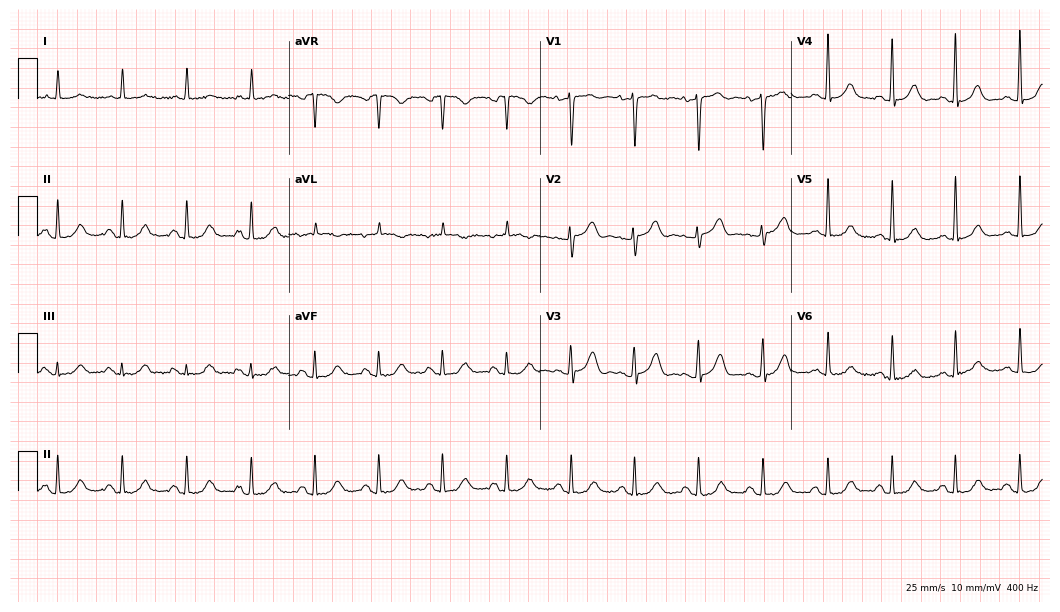
ECG — a woman, 80 years old. Labelled as a normal ECG.